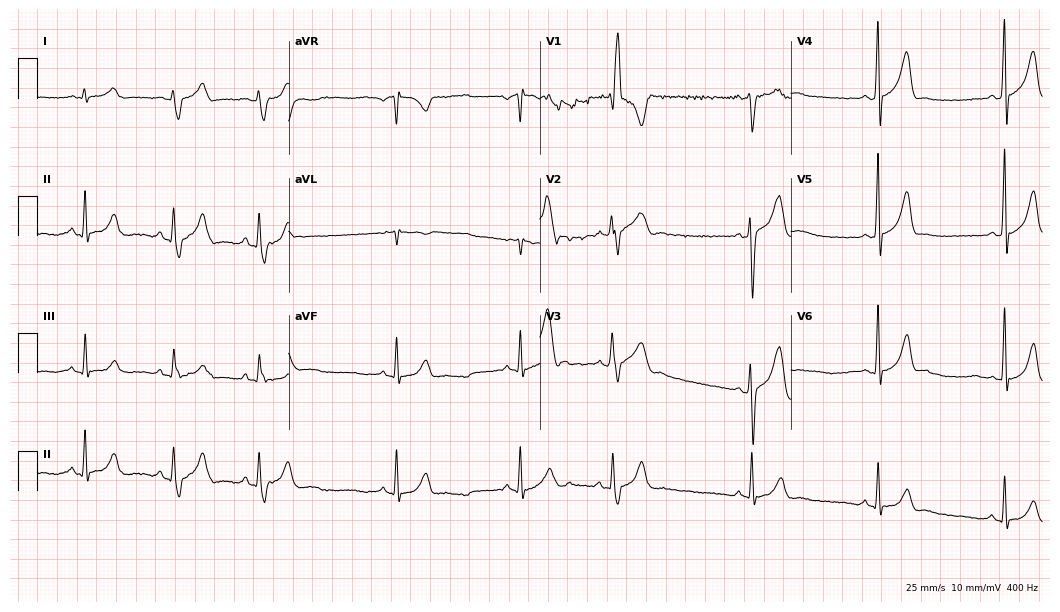
Electrocardiogram (10.2-second recording at 400 Hz), a 24-year-old man. Of the six screened findings (first-degree AV block, right bundle branch block (RBBB), left bundle branch block (LBBB), sinus bradycardia, atrial fibrillation (AF), sinus tachycardia), none is recorded.